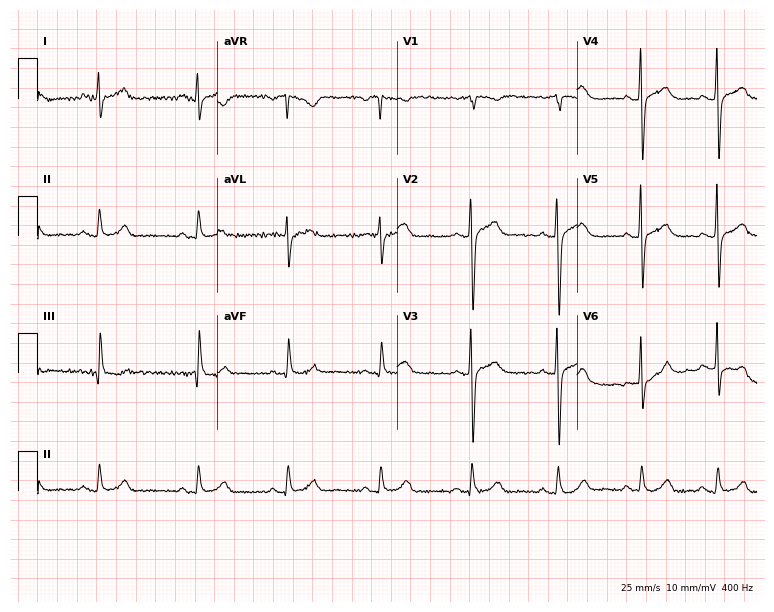
Standard 12-lead ECG recorded from a female, 34 years old (7.3-second recording at 400 Hz). None of these six findings is recorded: first-degree AV block, right bundle branch block (RBBB), left bundle branch block (LBBB), sinus bradycardia, atrial fibrillation (AF), sinus tachycardia. Other findings, if any, are not listed.